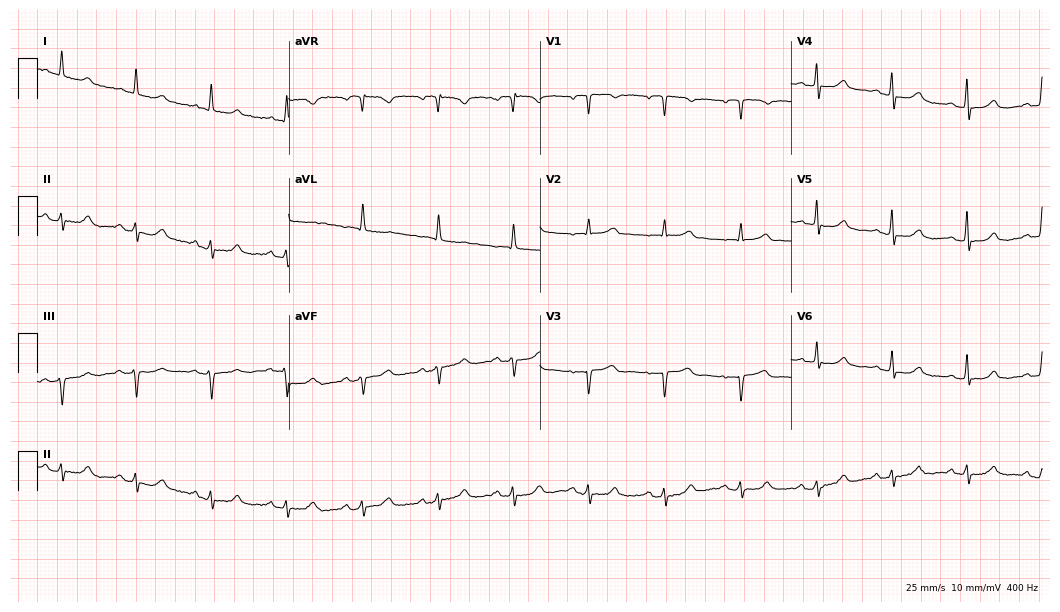
12-lead ECG from a 71-year-old female patient. Screened for six findings — first-degree AV block, right bundle branch block (RBBB), left bundle branch block (LBBB), sinus bradycardia, atrial fibrillation (AF), sinus tachycardia — none is recorded.